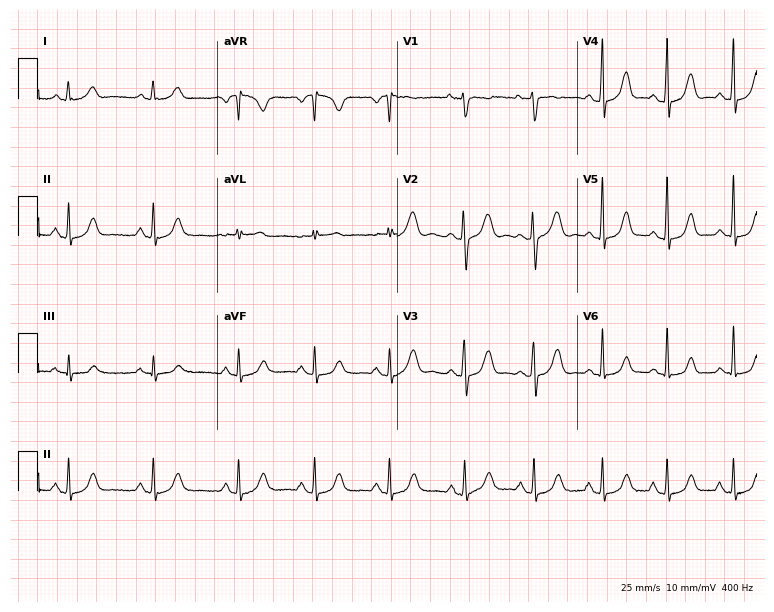
Electrocardiogram, a woman, 29 years old. Of the six screened findings (first-degree AV block, right bundle branch block (RBBB), left bundle branch block (LBBB), sinus bradycardia, atrial fibrillation (AF), sinus tachycardia), none is recorded.